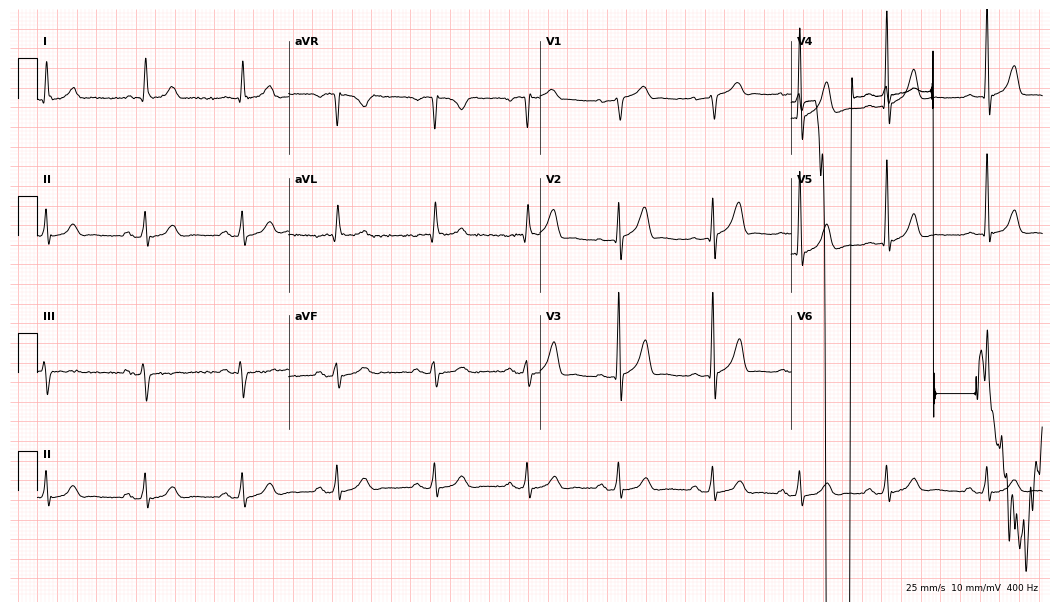
Standard 12-lead ECG recorded from a 57-year-old man (10.2-second recording at 400 Hz). None of these six findings is recorded: first-degree AV block, right bundle branch block (RBBB), left bundle branch block (LBBB), sinus bradycardia, atrial fibrillation (AF), sinus tachycardia.